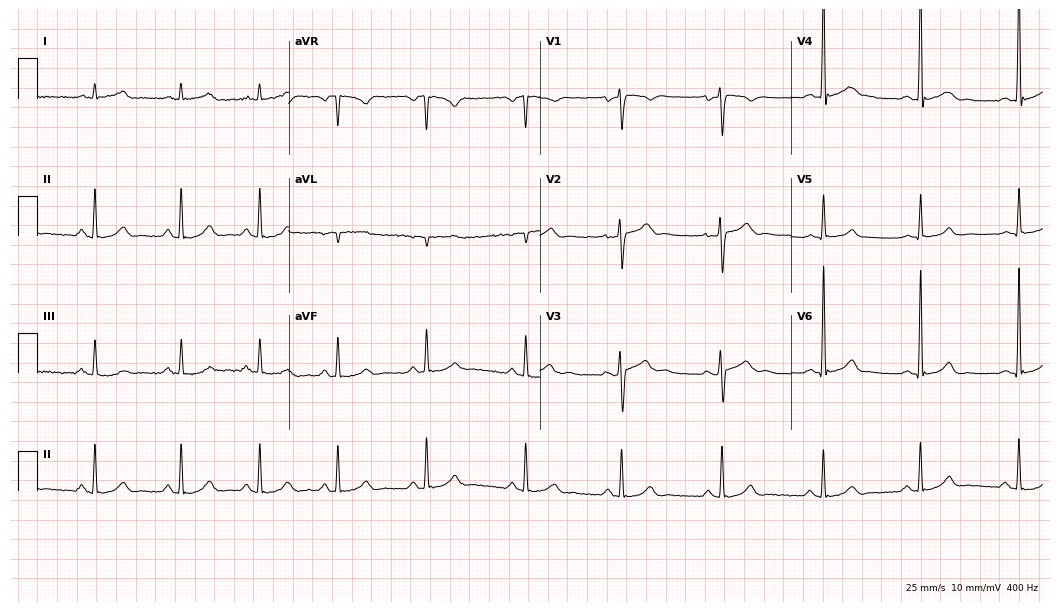
ECG (10.2-second recording at 400 Hz) — a man, 31 years old. Labelled as a normal ECG.